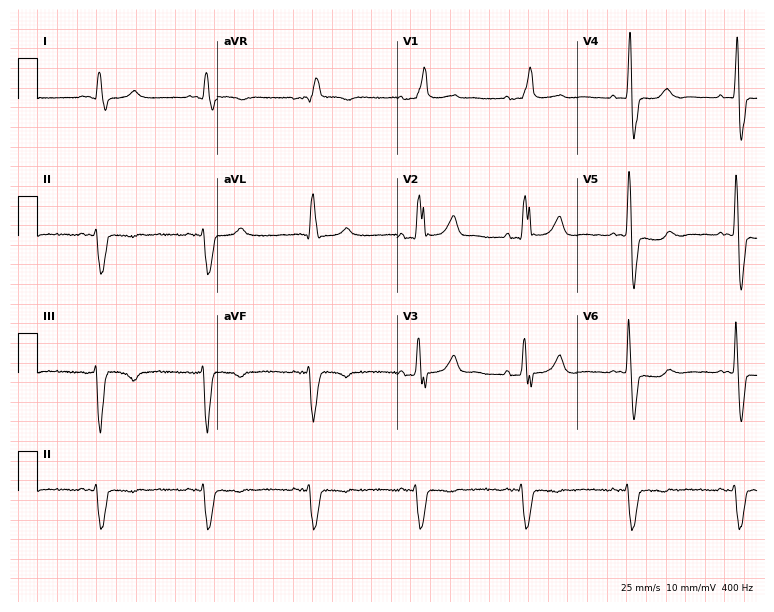
ECG — a 64-year-old male patient. Findings include right bundle branch block.